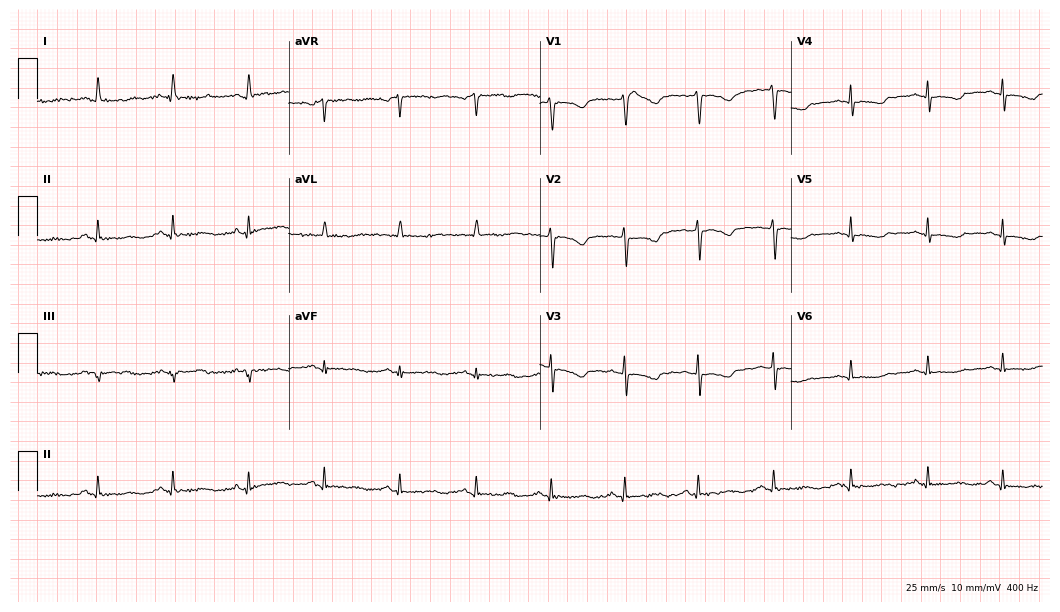
Standard 12-lead ECG recorded from a 56-year-old woman. Read as a normal ECG.